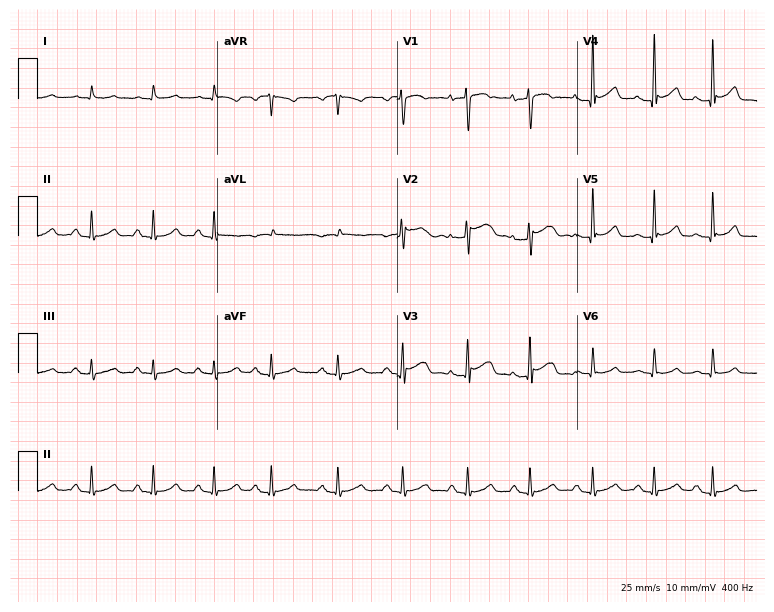
Electrocardiogram, a male, 58 years old. Of the six screened findings (first-degree AV block, right bundle branch block, left bundle branch block, sinus bradycardia, atrial fibrillation, sinus tachycardia), none is recorded. Only these six findings were labelled.